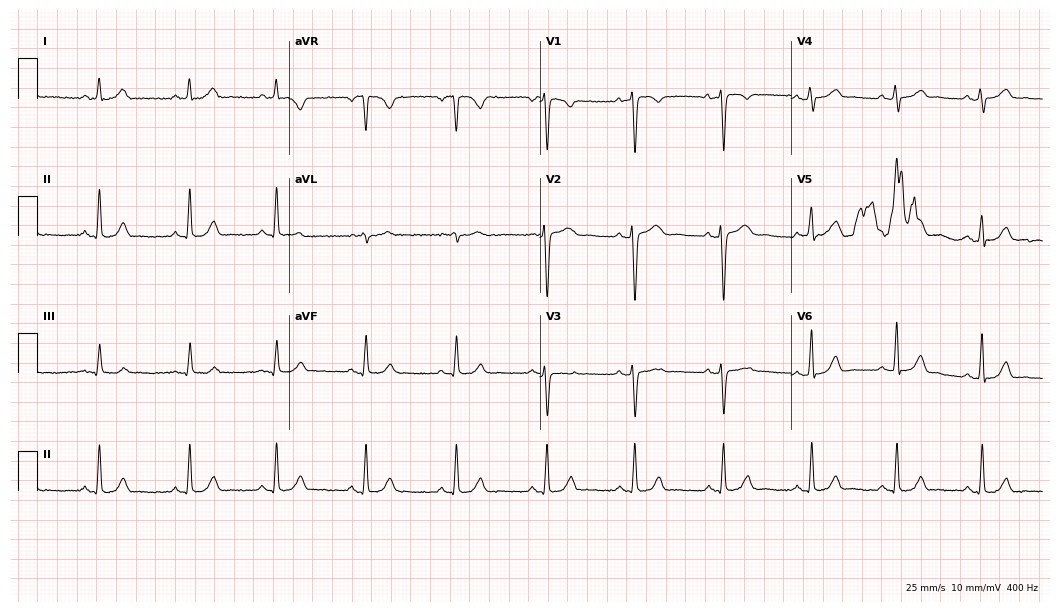
Standard 12-lead ECG recorded from a 24-year-old female patient. None of these six findings is recorded: first-degree AV block, right bundle branch block, left bundle branch block, sinus bradycardia, atrial fibrillation, sinus tachycardia.